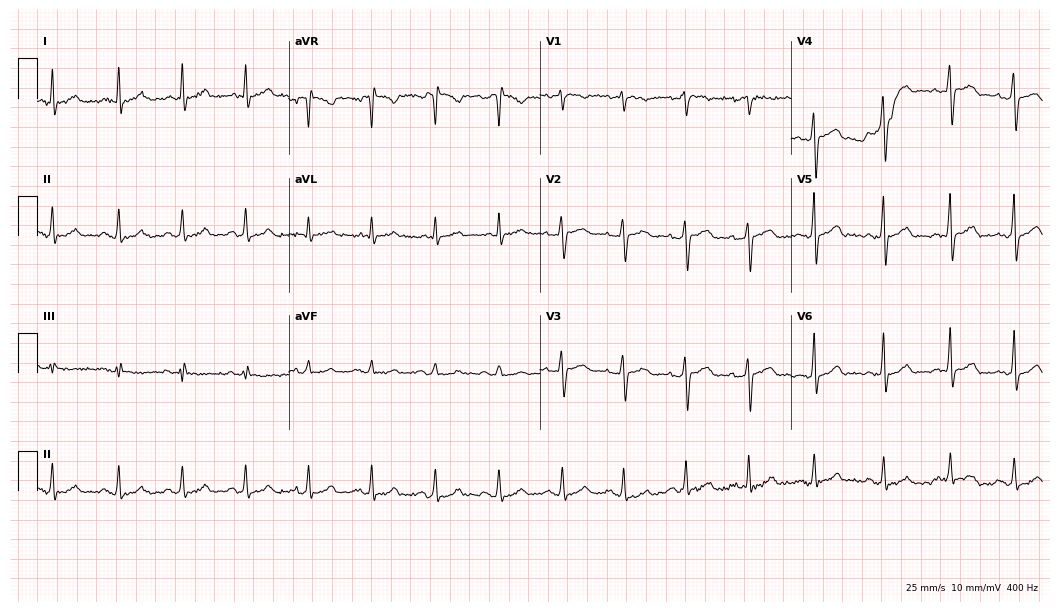
12-lead ECG from a man, 65 years old (10.2-second recording at 400 Hz). Recorded interpretation: within normal limits.